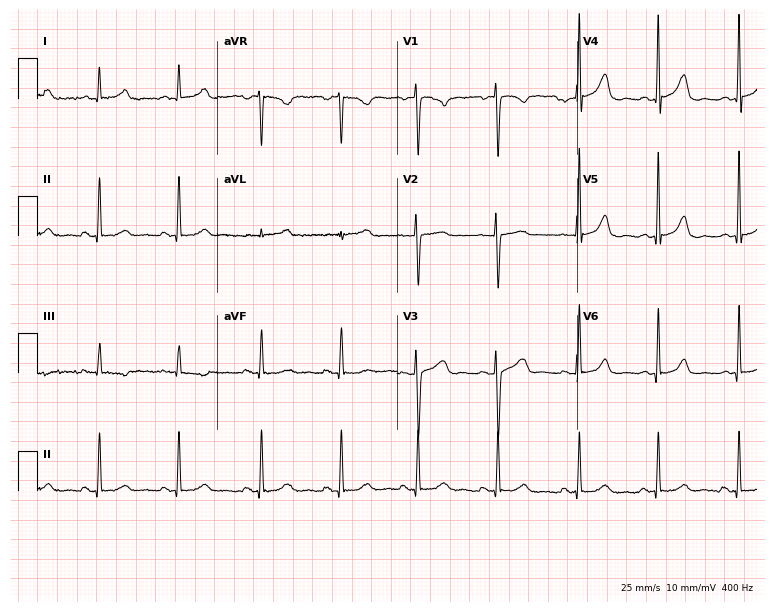
Resting 12-lead electrocardiogram. Patient: a 34-year-old female. Read as a normal ECG.